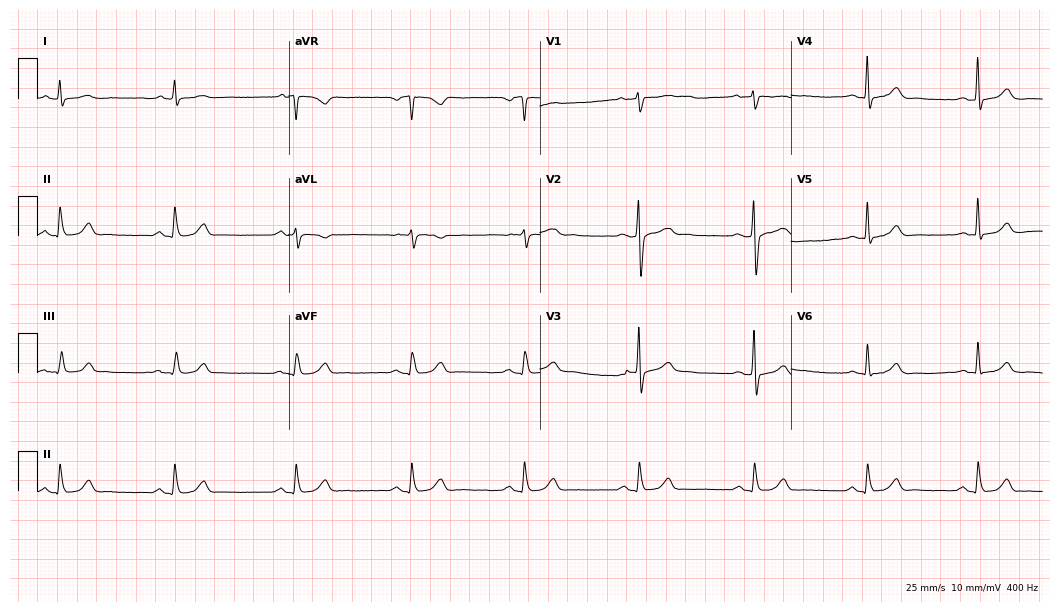
12-lead ECG (10.2-second recording at 400 Hz) from a man, 50 years old. Labelled as a normal ECG.